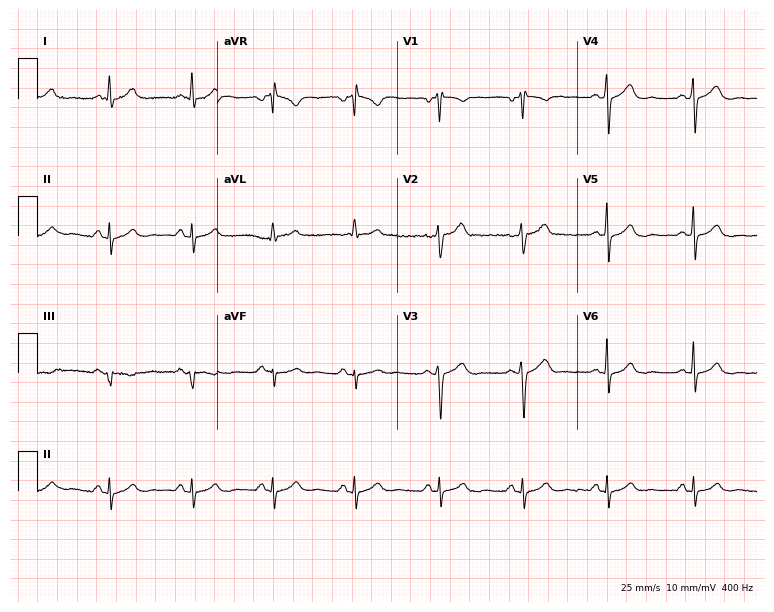
Electrocardiogram (7.3-second recording at 400 Hz), a male, 38 years old. Of the six screened findings (first-degree AV block, right bundle branch block (RBBB), left bundle branch block (LBBB), sinus bradycardia, atrial fibrillation (AF), sinus tachycardia), none is recorded. Other findings, if any, are not listed.